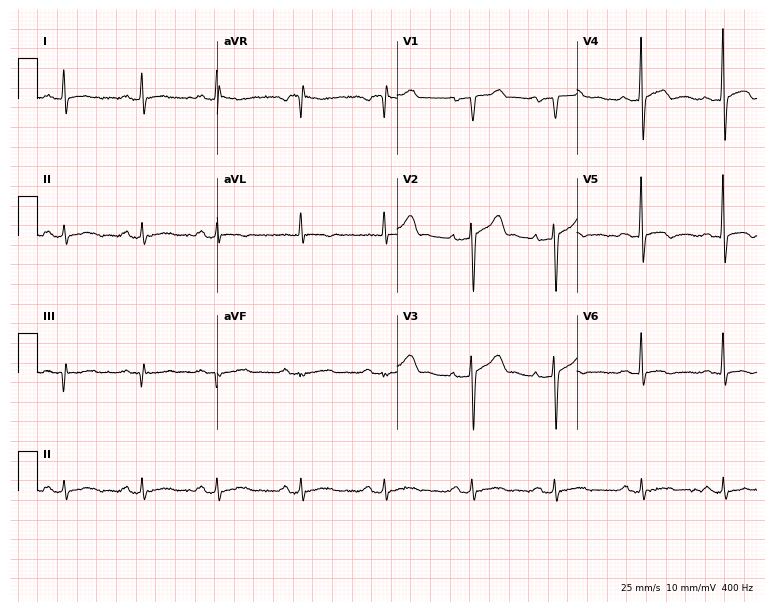
Standard 12-lead ECG recorded from a 38-year-old man (7.3-second recording at 400 Hz). None of these six findings is recorded: first-degree AV block, right bundle branch block, left bundle branch block, sinus bradycardia, atrial fibrillation, sinus tachycardia. Other findings, if any, are not listed.